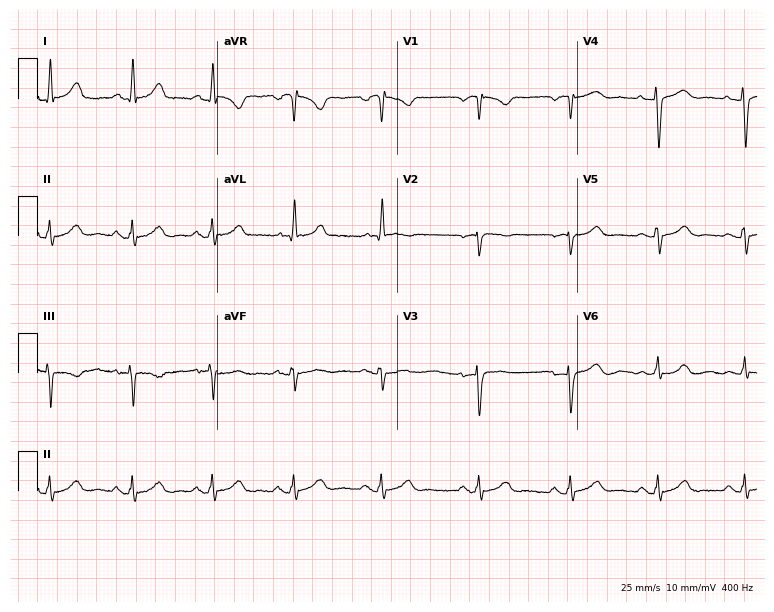
12-lead ECG from a woman, 48 years old. Screened for six findings — first-degree AV block, right bundle branch block, left bundle branch block, sinus bradycardia, atrial fibrillation, sinus tachycardia — none is recorded. Only these six findings were labelled.